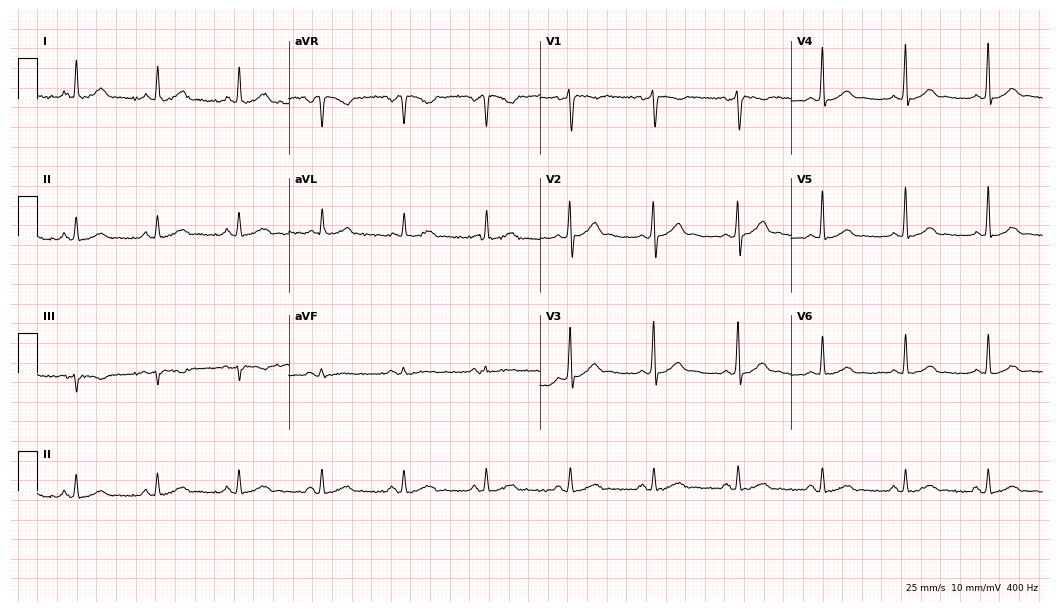
Standard 12-lead ECG recorded from a male patient, 55 years old (10.2-second recording at 400 Hz). None of these six findings is recorded: first-degree AV block, right bundle branch block, left bundle branch block, sinus bradycardia, atrial fibrillation, sinus tachycardia.